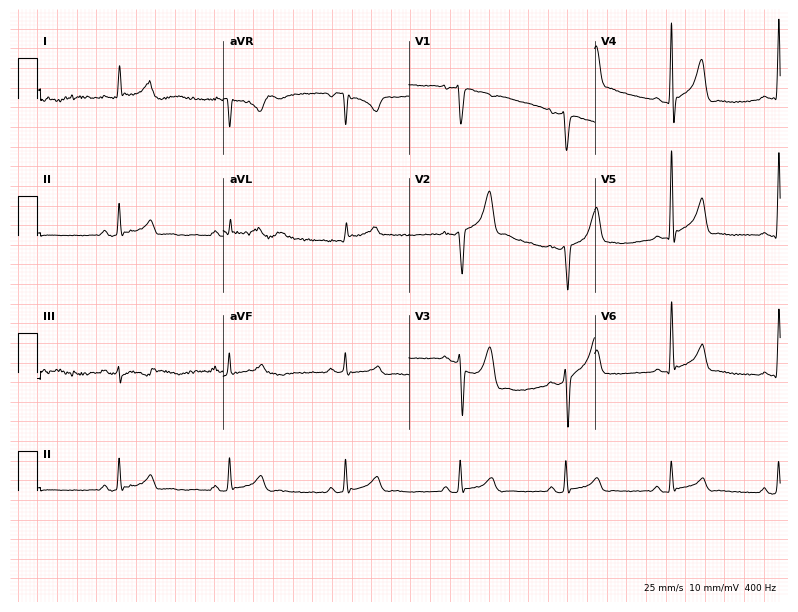
12-lead ECG (7.6-second recording at 400 Hz) from a 45-year-old man. Screened for six findings — first-degree AV block, right bundle branch block, left bundle branch block, sinus bradycardia, atrial fibrillation, sinus tachycardia — none is recorded. Findings outside these six are not listed.